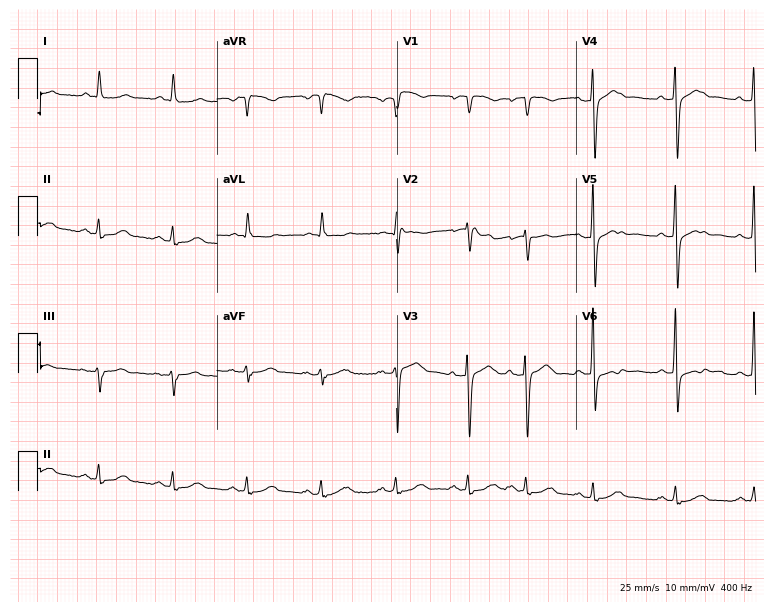
12-lead ECG from an 83-year-old female patient. Recorded interpretation: within normal limits.